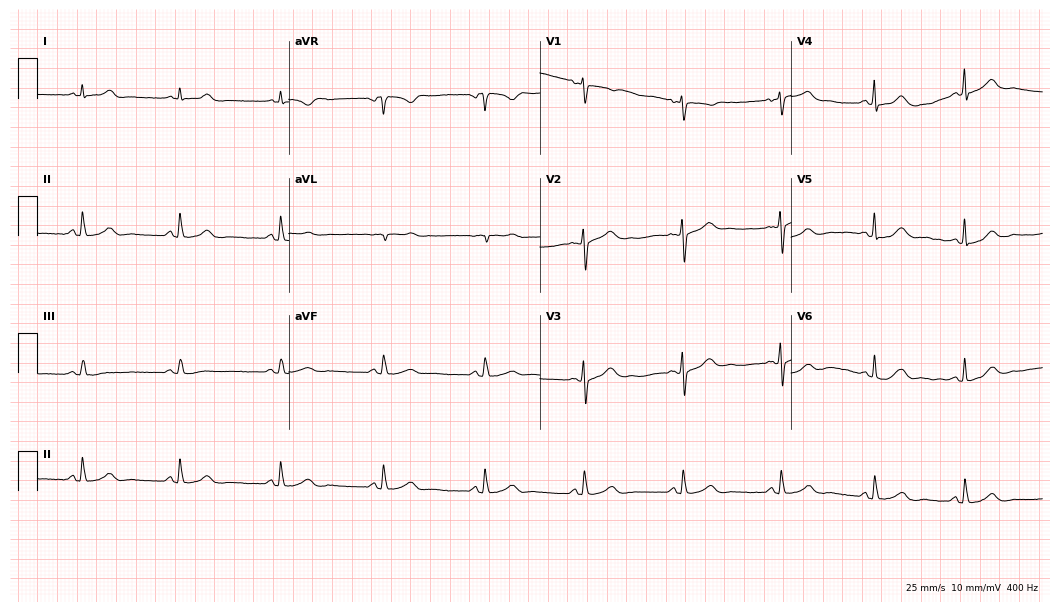
Electrocardiogram (10.2-second recording at 400 Hz), a 46-year-old woman. Overall reading on record: normal ECG.